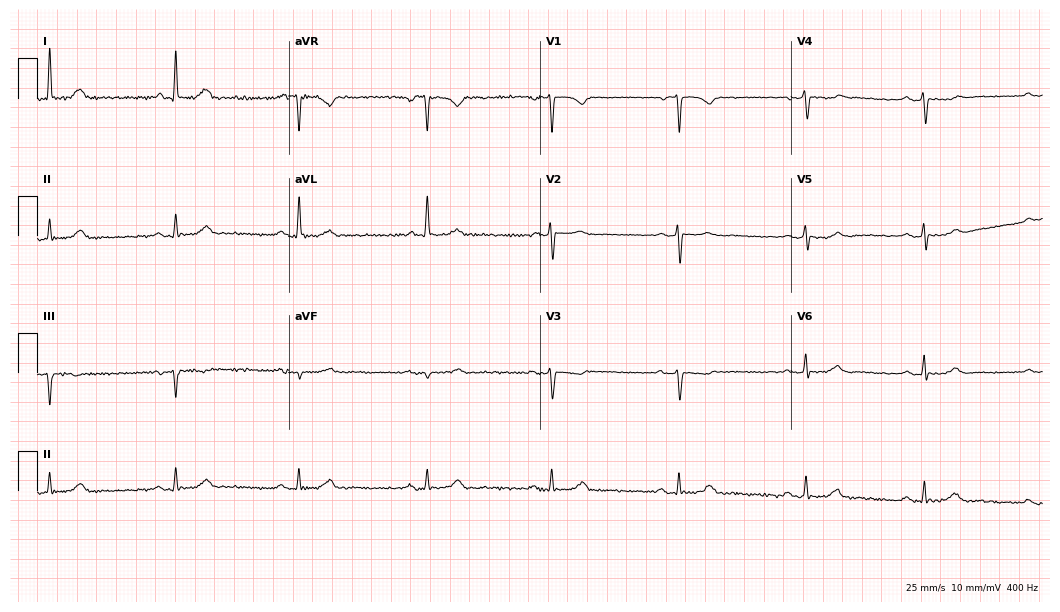
Standard 12-lead ECG recorded from a 64-year-old female. None of these six findings is recorded: first-degree AV block, right bundle branch block (RBBB), left bundle branch block (LBBB), sinus bradycardia, atrial fibrillation (AF), sinus tachycardia. Other findings, if any, are not listed.